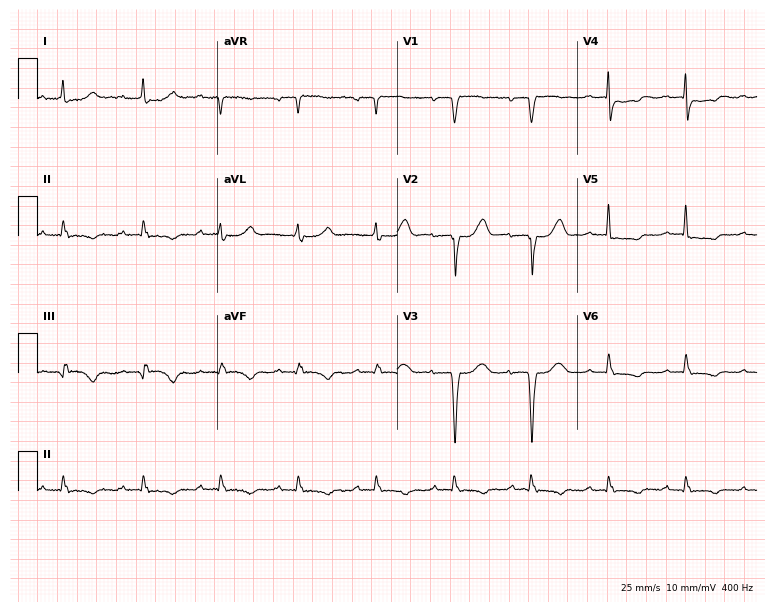
12-lead ECG from a female patient, 78 years old. Screened for six findings — first-degree AV block, right bundle branch block, left bundle branch block, sinus bradycardia, atrial fibrillation, sinus tachycardia — none is recorded.